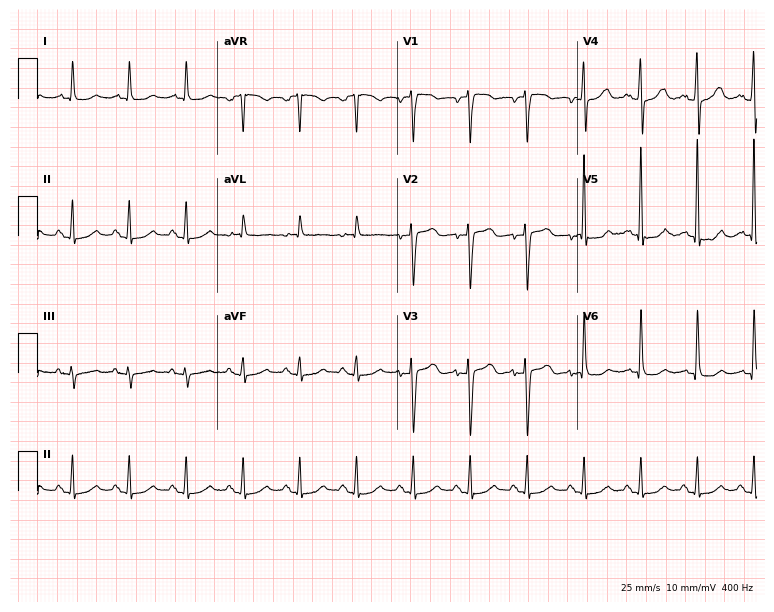
Resting 12-lead electrocardiogram (7.3-second recording at 400 Hz). Patient: a 72-year-old female. The tracing shows sinus tachycardia (a sinus rate of 100 beats per minute or more).